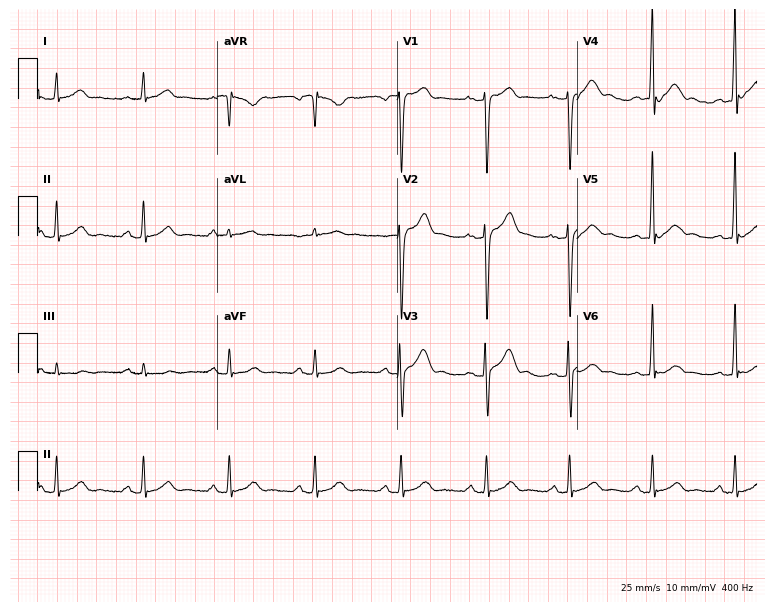
12-lead ECG from a male, 34 years old (7.3-second recording at 400 Hz). No first-degree AV block, right bundle branch block (RBBB), left bundle branch block (LBBB), sinus bradycardia, atrial fibrillation (AF) or sinus tachycardia recorded for this tracing.